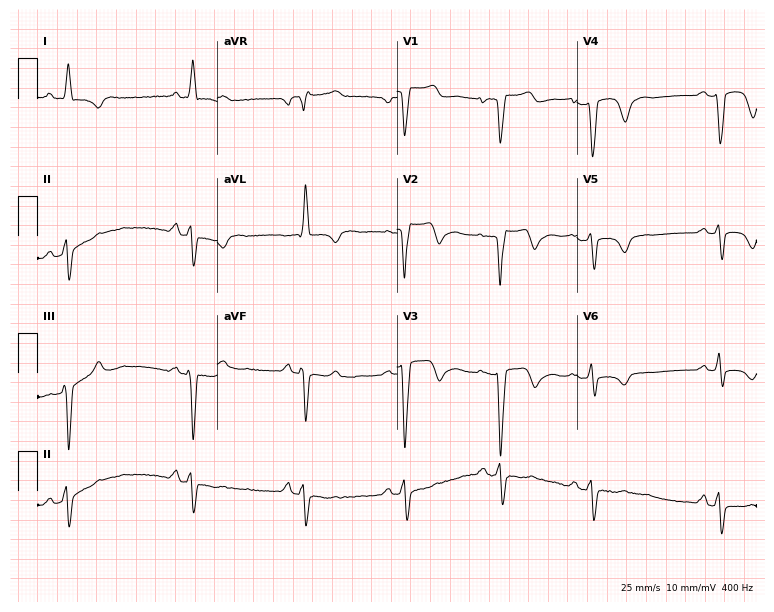
12-lead ECG from a female, 80 years old (7.3-second recording at 400 Hz). No first-degree AV block, right bundle branch block, left bundle branch block, sinus bradycardia, atrial fibrillation or sinus tachycardia recorded for this tracing.